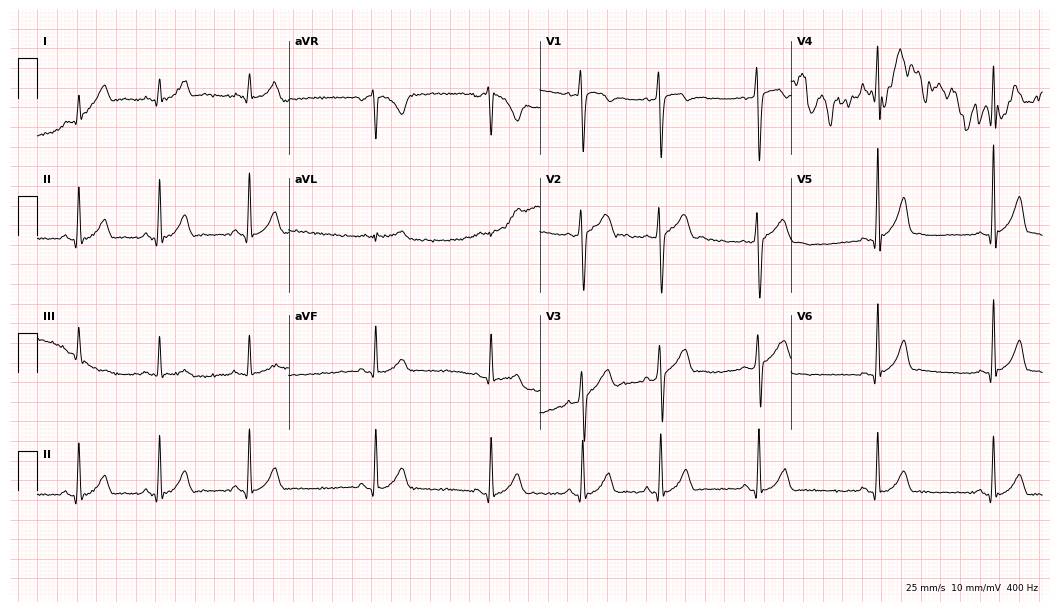
12-lead ECG from a 28-year-old male patient. Screened for six findings — first-degree AV block, right bundle branch block, left bundle branch block, sinus bradycardia, atrial fibrillation, sinus tachycardia — none is recorded.